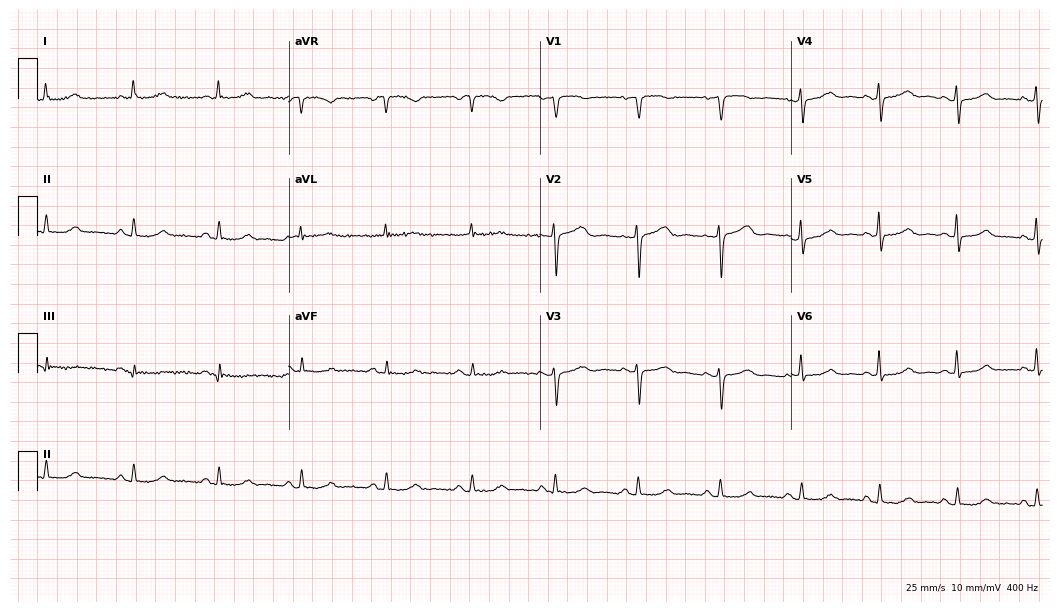
Electrocardiogram, a 70-year-old woman. Of the six screened findings (first-degree AV block, right bundle branch block, left bundle branch block, sinus bradycardia, atrial fibrillation, sinus tachycardia), none is recorded.